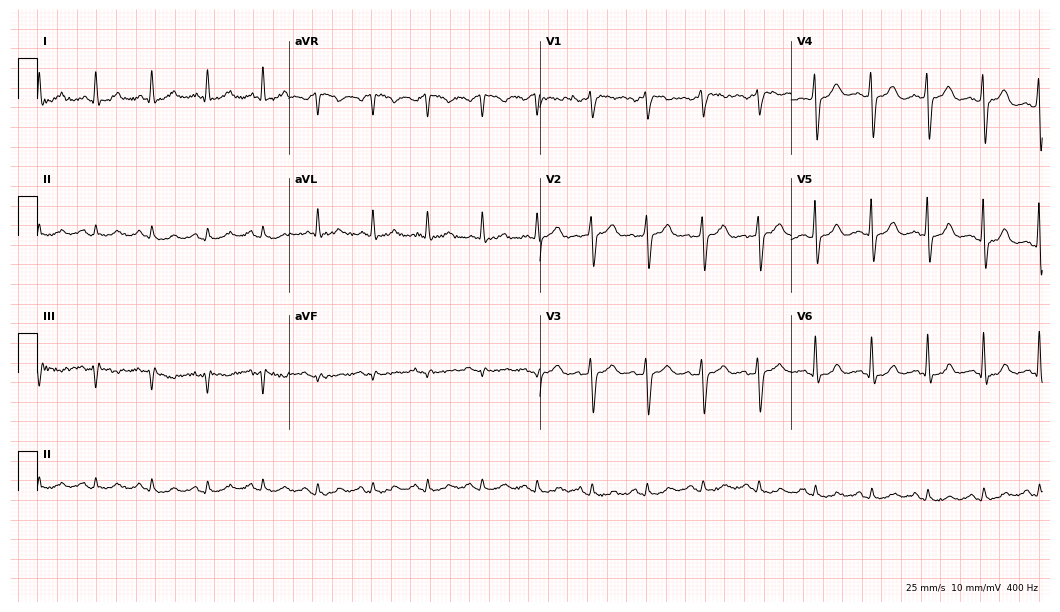
ECG (10.2-second recording at 400 Hz) — a 65-year-old male. Findings include sinus tachycardia (a sinus rate of 100 beats per minute or more).